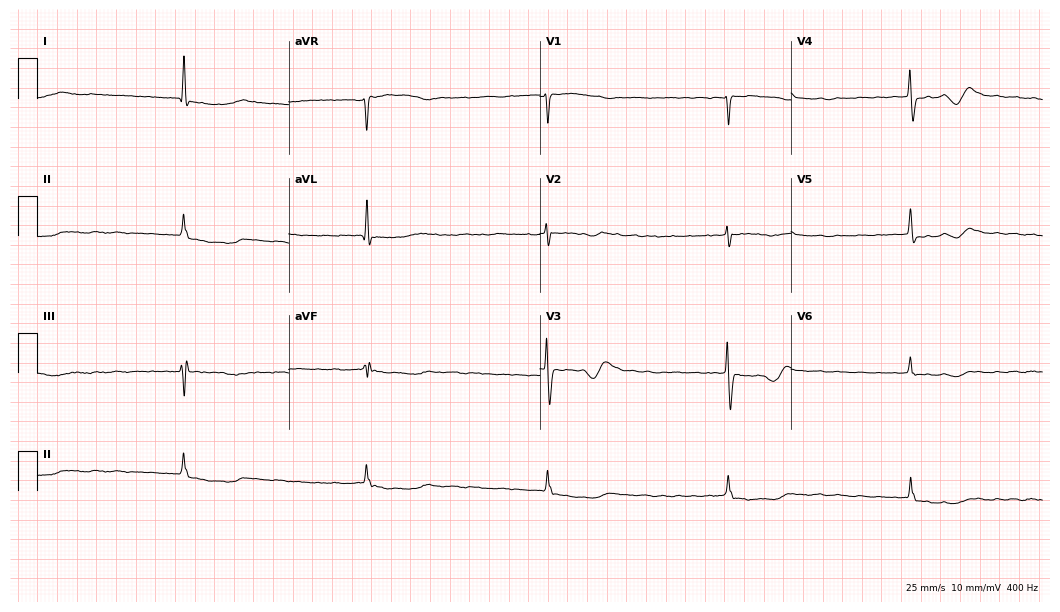
ECG (10.2-second recording at 400 Hz) — an 80-year-old female. Findings include atrial fibrillation.